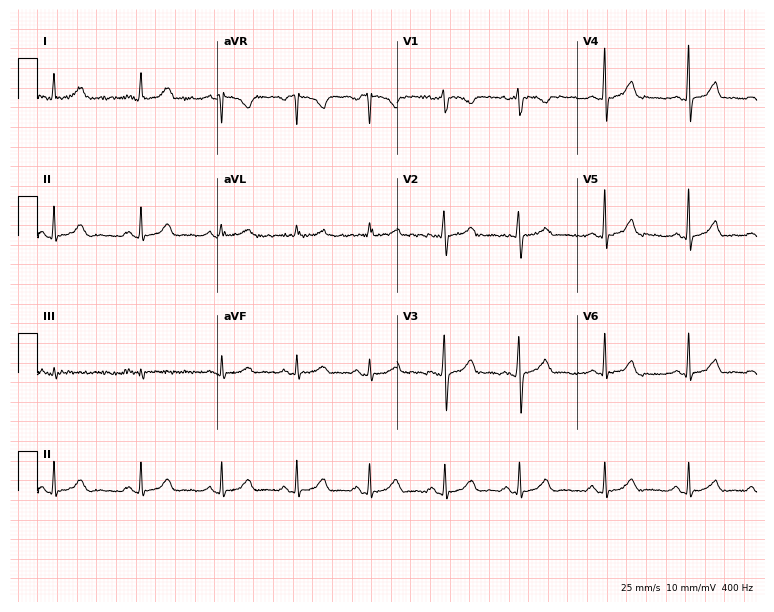
Standard 12-lead ECG recorded from a female, 27 years old (7.3-second recording at 400 Hz). Read as a normal ECG.